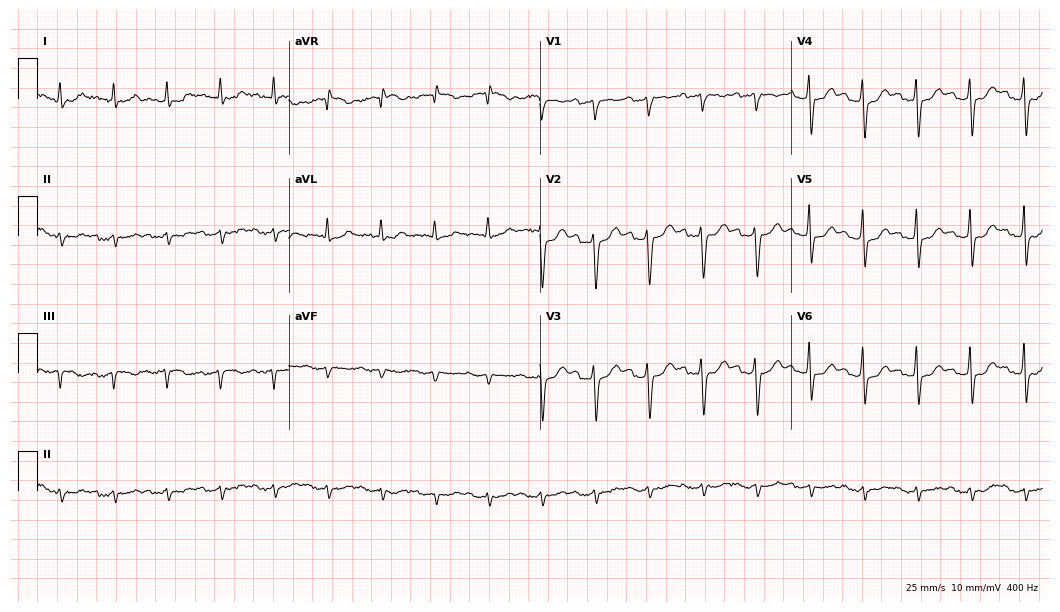
Electrocardiogram (10.2-second recording at 400 Hz), a male, 74 years old. Of the six screened findings (first-degree AV block, right bundle branch block, left bundle branch block, sinus bradycardia, atrial fibrillation, sinus tachycardia), none is recorded.